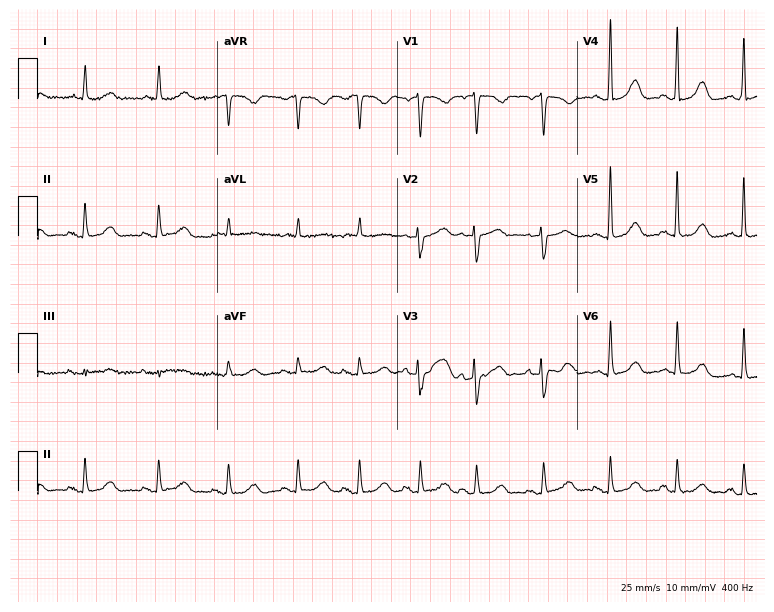
Resting 12-lead electrocardiogram. Patient: a woman, 82 years old. None of these six findings is recorded: first-degree AV block, right bundle branch block (RBBB), left bundle branch block (LBBB), sinus bradycardia, atrial fibrillation (AF), sinus tachycardia. Only these six findings were labelled.